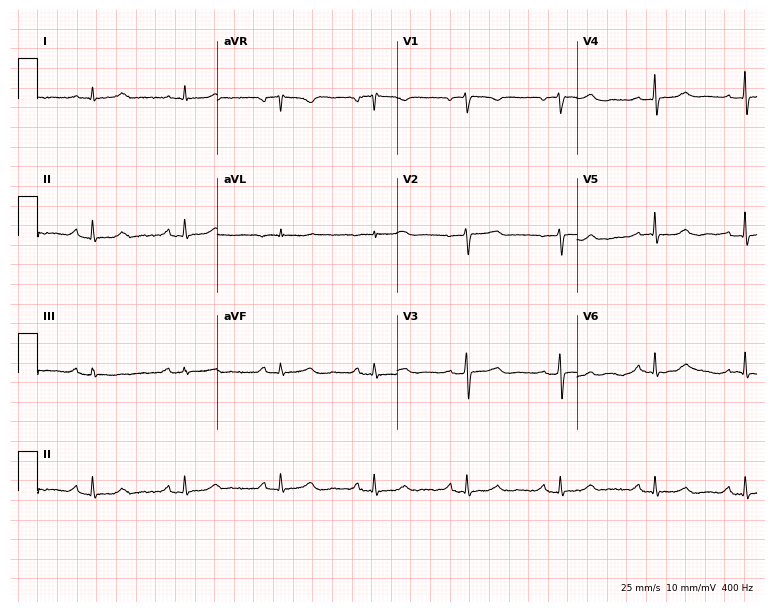
ECG (7.3-second recording at 400 Hz) — a female patient, 51 years old. Screened for six findings — first-degree AV block, right bundle branch block, left bundle branch block, sinus bradycardia, atrial fibrillation, sinus tachycardia — none is recorded. Only these six findings were labelled.